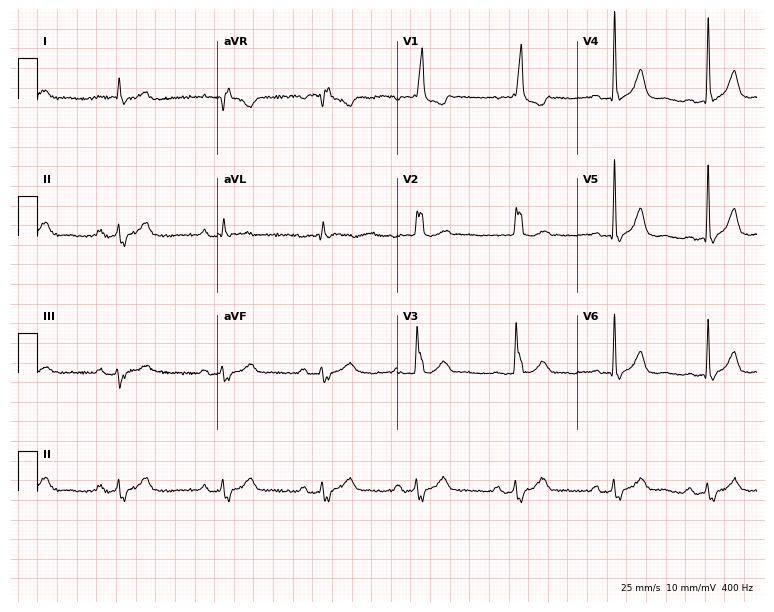
ECG — a male patient, 84 years old. Findings include first-degree AV block, right bundle branch block.